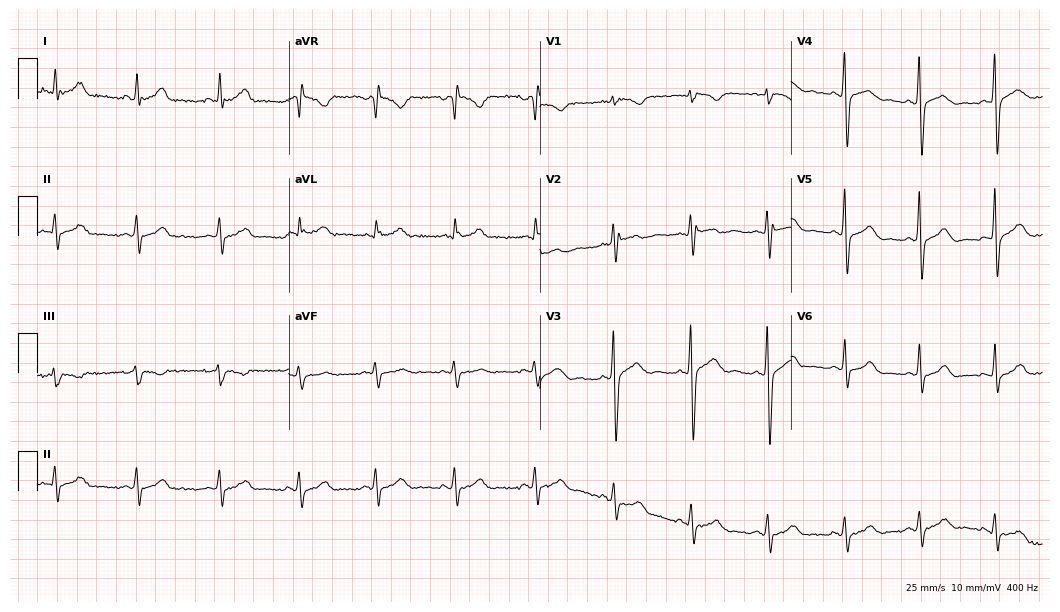
12-lead ECG from a male, 35 years old (10.2-second recording at 400 Hz). No first-degree AV block, right bundle branch block (RBBB), left bundle branch block (LBBB), sinus bradycardia, atrial fibrillation (AF) or sinus tachycardia recorded for this tracing.